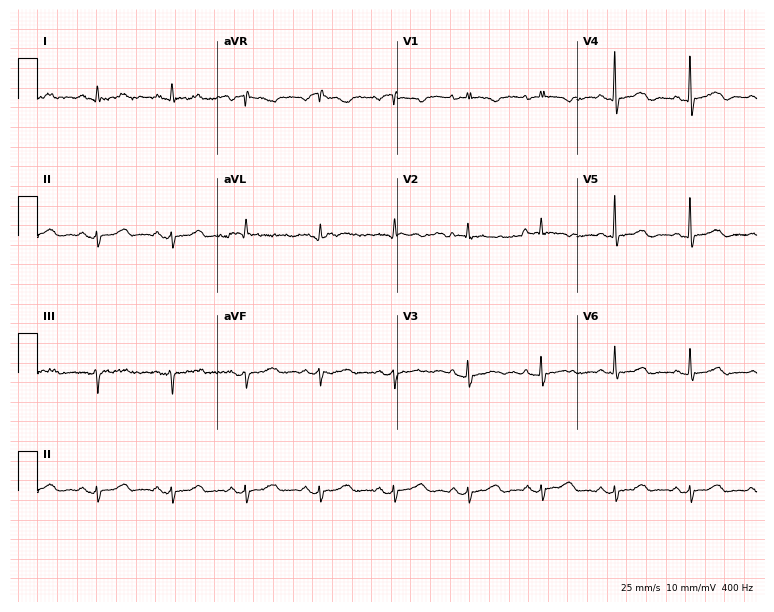
Electrocardiogram, an 83-year-old woman. Of the six screened findings (first-degree AV block, right bundle branch block, left bundle branch block, sinus bradycardia, atrial fibrillation, sinus tachycardia), none is recorded. Findings outside these six are not listed.